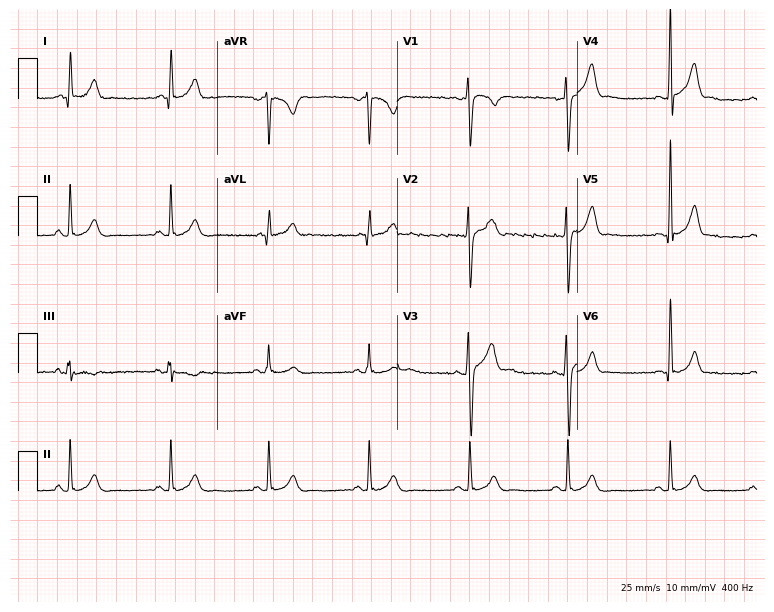
ECG (7.3-second recording at 400 Hz) — a 23-year-old male. Labelled as a normal ECG.